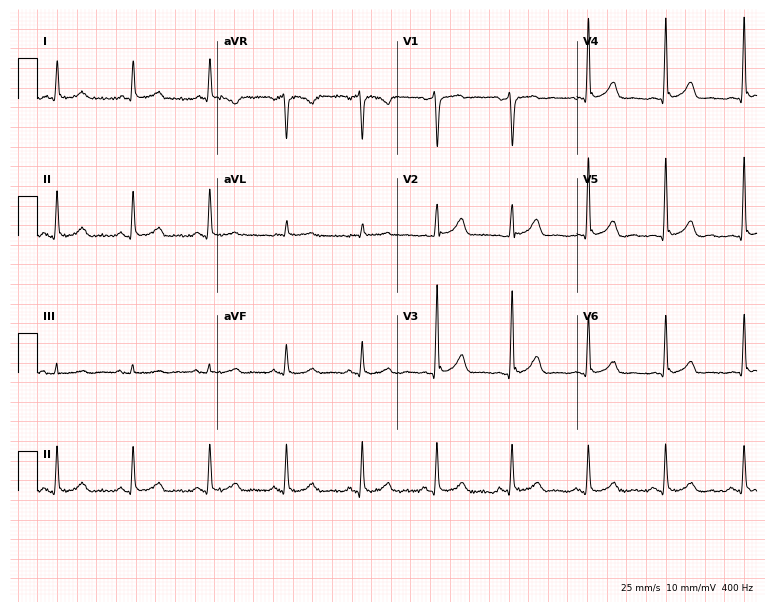
12-lead ECG from a 74-year-old male. Recorded interpretation: within normal limits.